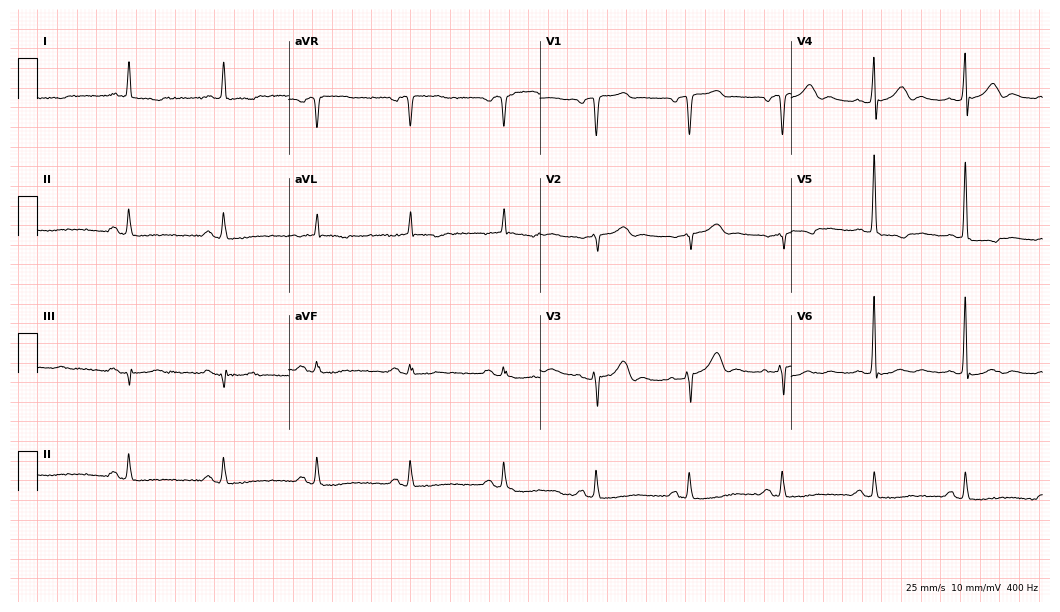
Standard 12-lead ECG recorded from a male patient, 87 years old (10.2-second recording at 400 Hz). None of these six findings is recorded: first-degree AV block, right bundle branch block (RBBB), left bundle branch block (LBBB), sinus bradycardia, atrial fibrillation (AF), sinus tachycardia.